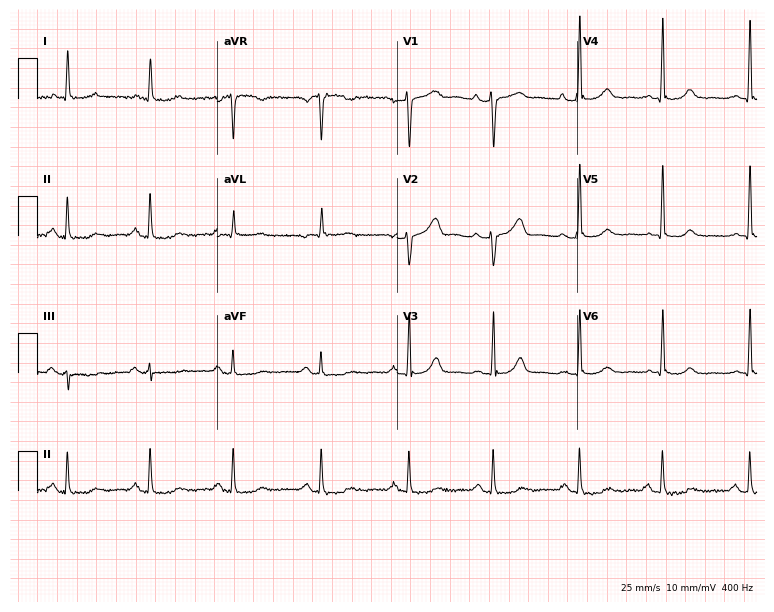
12-lead ECG from a female patient, 77 years old. Recorded interpretation: within normal limits.